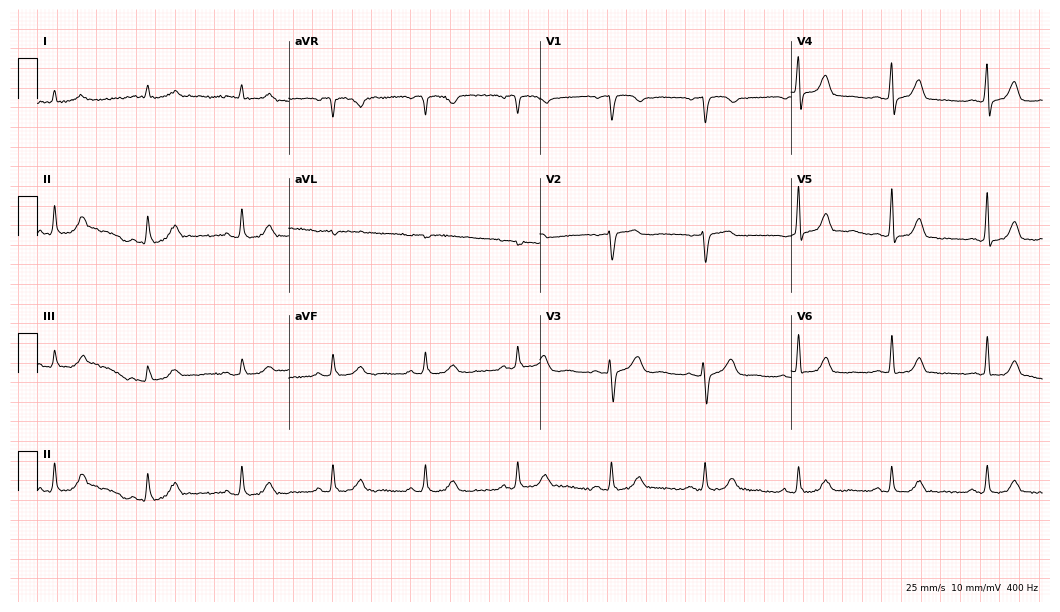
Standard 12-lead ECG recorded from a 64-year-old male patient. Read as a normal ECG.